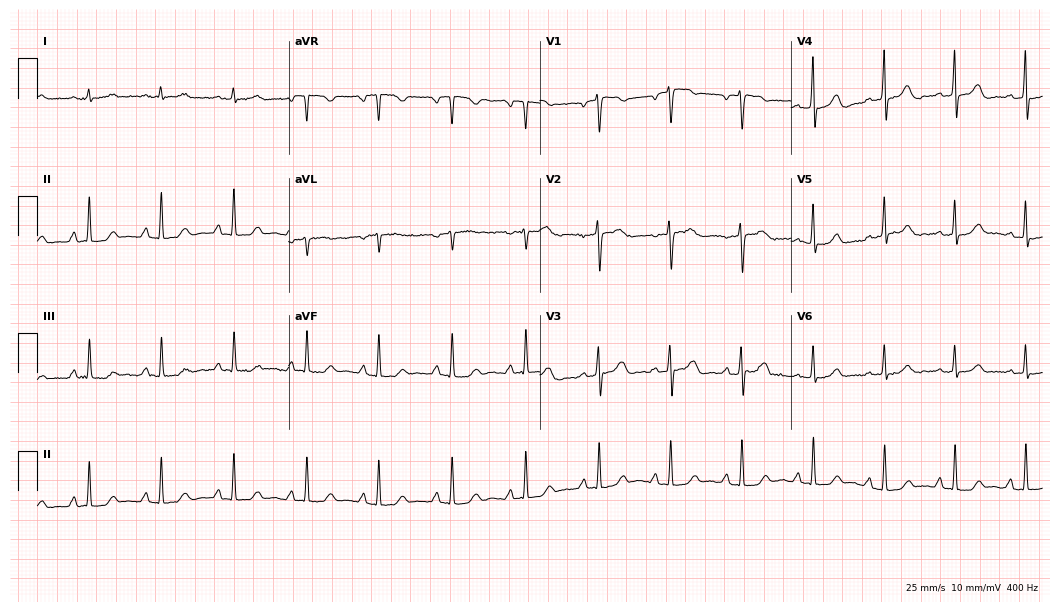
12-lead ECG from a 39-year-old woman. No first-degree AV block, right bundle branch block (RBBB), left bundle branch block (LBBB), sinus bradycardia, atrial fibrillation (AF) or sinus tachycardia recorded for this tracing. Findings outside these six are not listed.